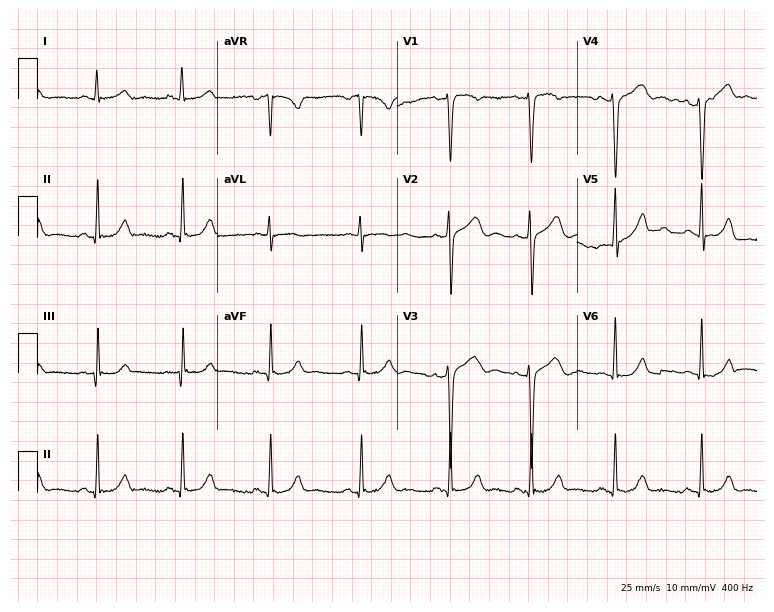
12-lead ECG (7.3-second recording at 400 Hz) from a female, 26 years old. Screened for six findings — first-degree AV block, right bundle branch block (RBBB), left bundle branch block (LBBB), sinus bradycardia, atrial fibrillation (AF), sinus tachycardia — none is recorded.